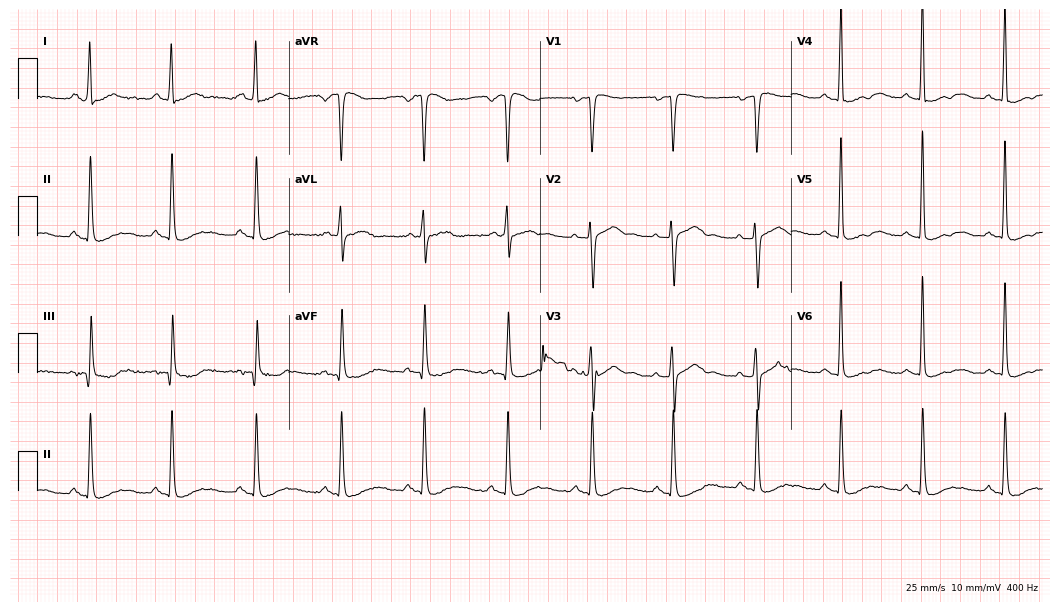
12-lead ECG (10.2-second recording at 400 Hz) from a female patient, 47 years old. Screened for six findings — first-degree AV block, right bundle branch block, left bundle branch block, sinus bradycardia, atrial fibrillation, sinus tachycardia — none is recorded.